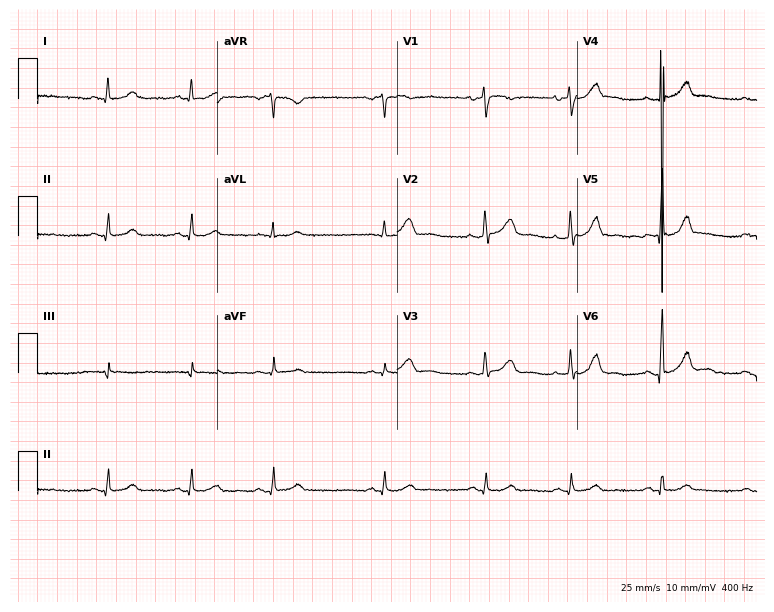
Electrocardiogram, a 41-year-old woman. Of the six screened findings (first-degree AV block, right bundle branch block, left bundle branch block, sinus bradycardia, atrial fibrillation, sinus tachycardia), none is recorded.